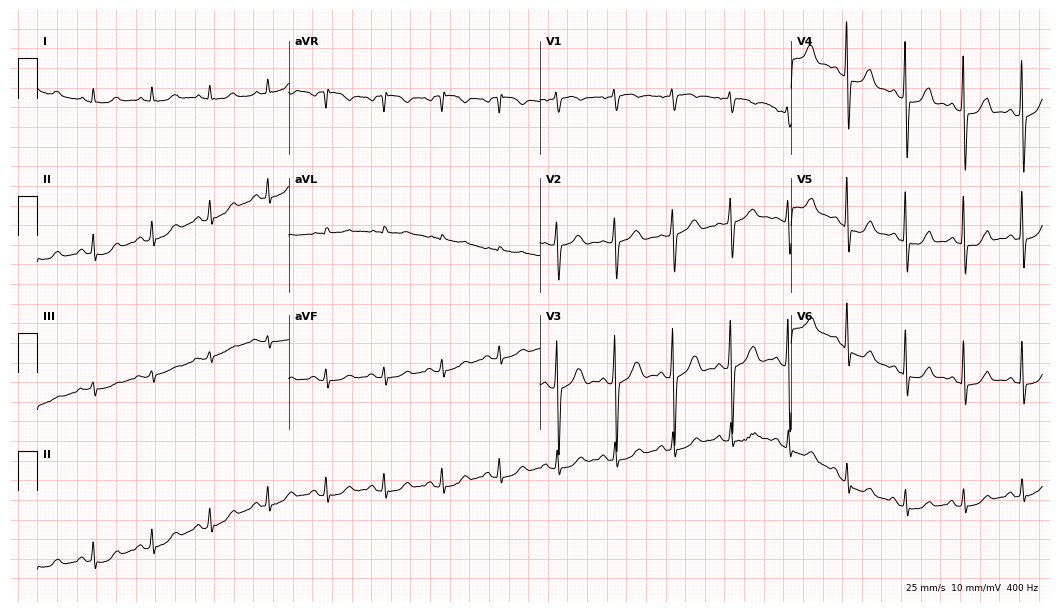
12-lead ECG from a man, 78 years old (10.2-second recording at 400 Hz). Shows sinus tachycardia (a sinus rate of 100 beats per minute or more).